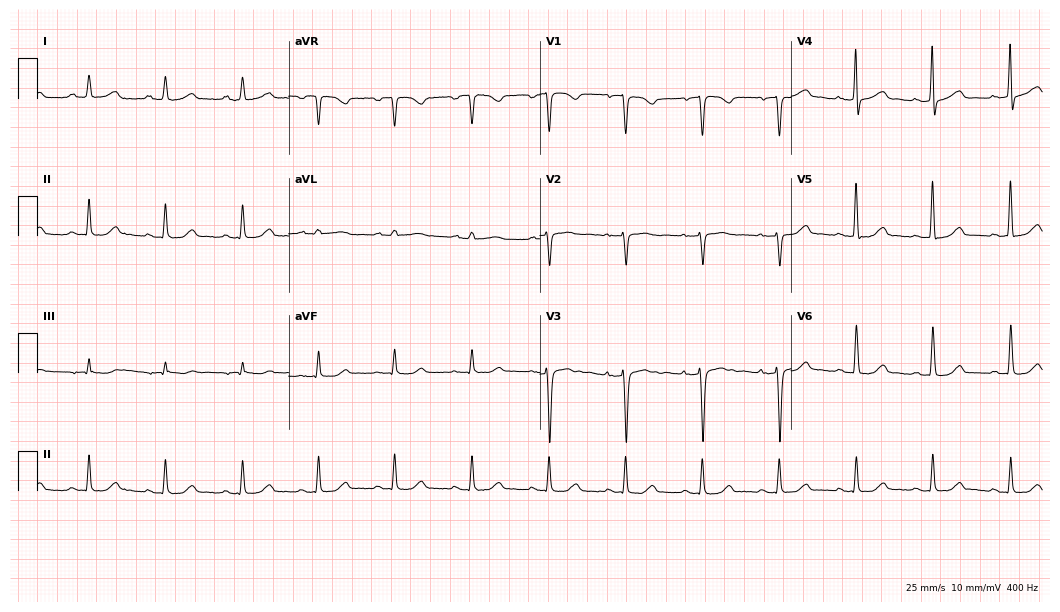
12-lead ECG from a female patient, 70 years old. Screened for six findings — first-degree AV block, right bundle branch block, left bundle branch block, sinus bradycardia, atrial fibrillation, sinus tachycardia — none is recorded.